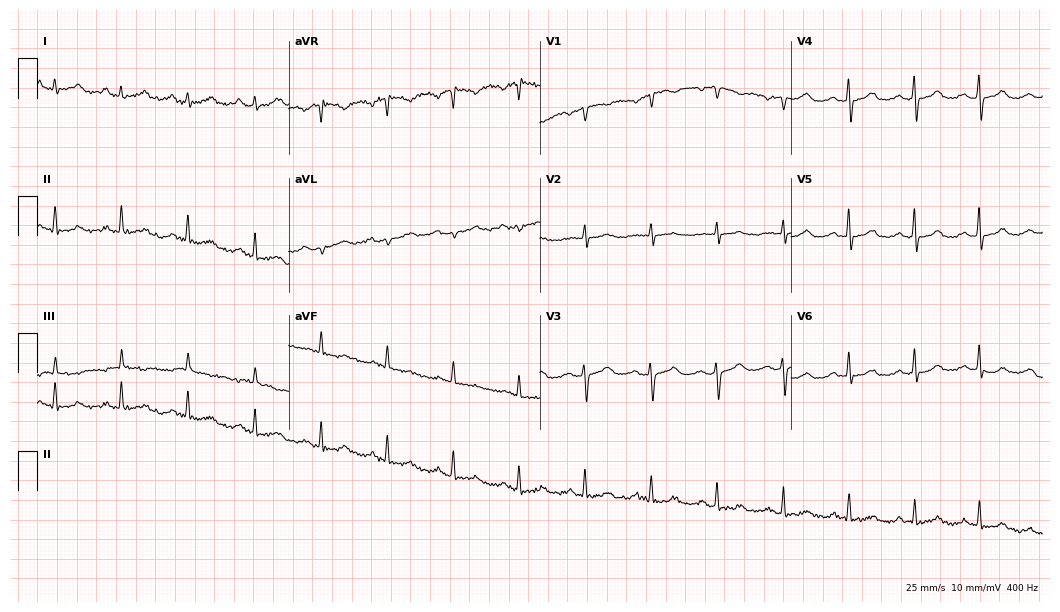
12-lead ECG (10.2-second recording at 400 Hz) from a 71-year-old female. Screened for six findings — first-degree AV block, right bundle branch block (RBBB), left bundle branch block (LBBB), sinus bradycardia, atrial fibrillation (AF), sinus tachycardia — none is recorded. Other findings, if any, are not listed.